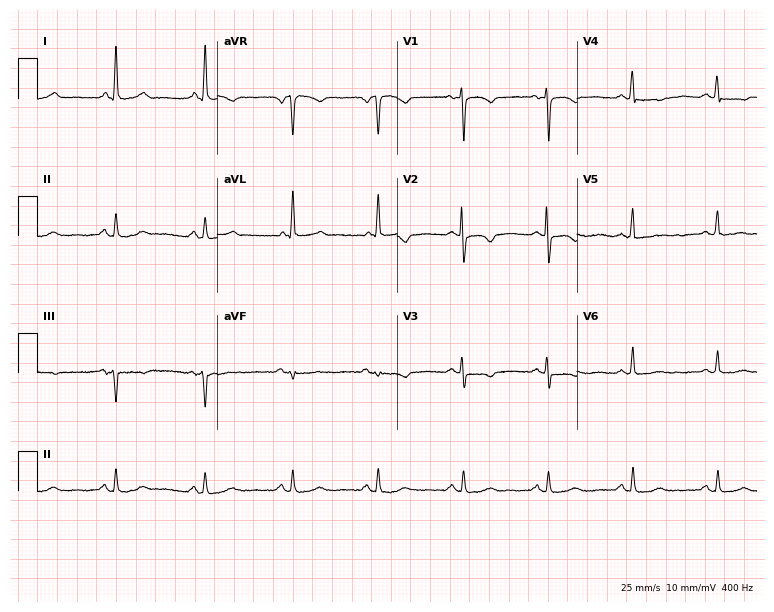
Electrocardiogram (7.3-second recording at 400 Hz), a 64-year-old woman. Of the six screened findings (first-degree AV block, right bundle branch block, left bundle branch block, sinus bradycardia, atrial fibrillation, sinus tachycardia), none is recorded.